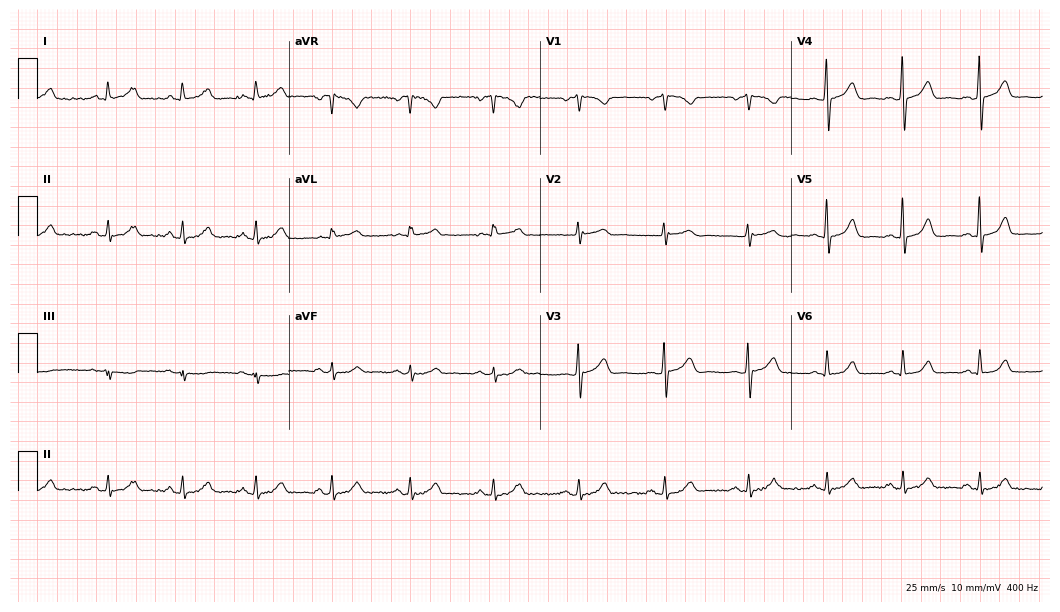
12-lead ECG from a female, 47 years old (10.2-second recording at 400 Hz). No first-degree AV block, right bundle branch block, left bundle branch block, sinus bradycardia, atrial fibrillation or sinus tachycardia recorded for this tracing. Only these six findings were labelled.